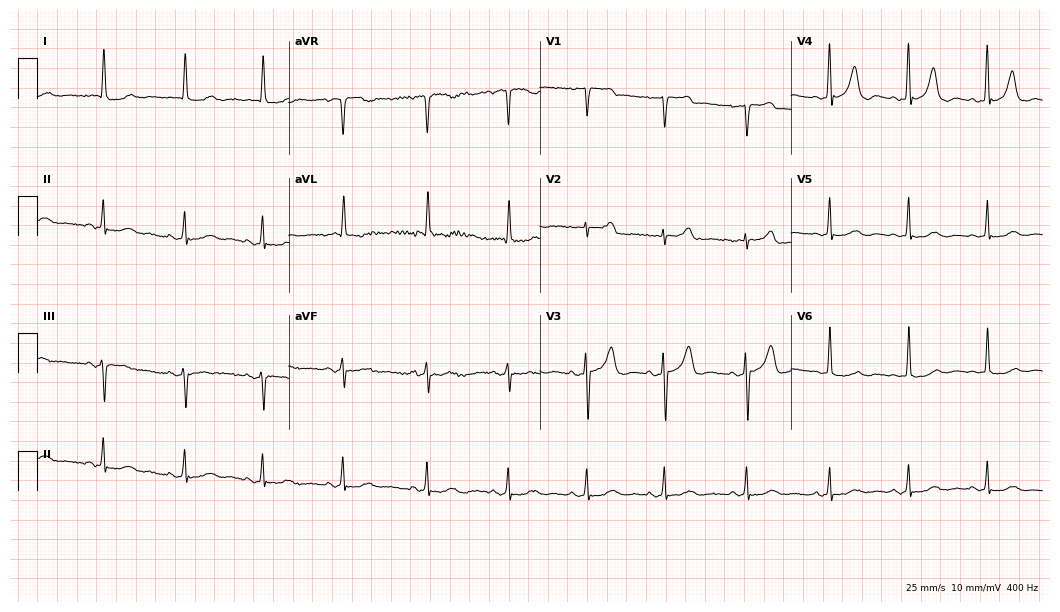
Resting 12-lead electrocardiogram. Patient: a woman, 82 years old. Read as a normal ECG.